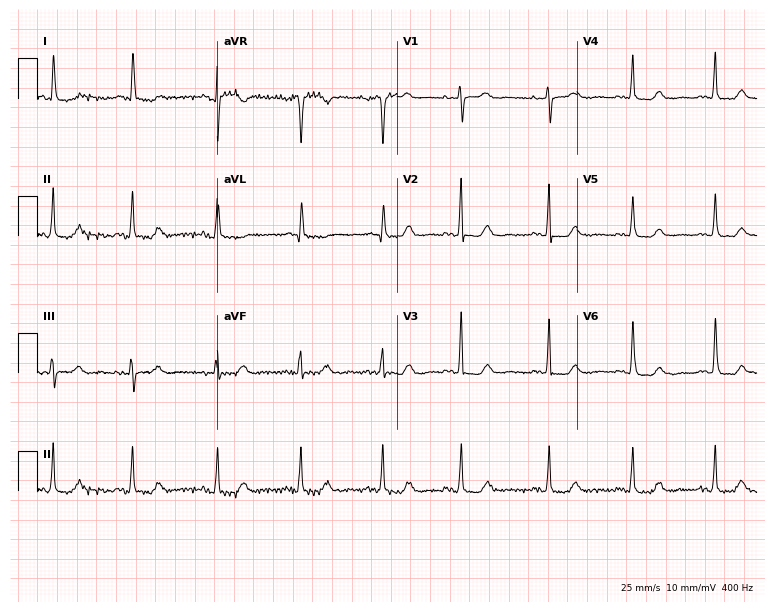
Electrocardiogram, a woman, 85 years old. Of the six screened findings (first-degree AV block, right bundle branch block, left bundle branch block, sinus bradycardia, atrial fibrillation, sinus tachycardia), none is recorded. Findings outside these six are not listed.